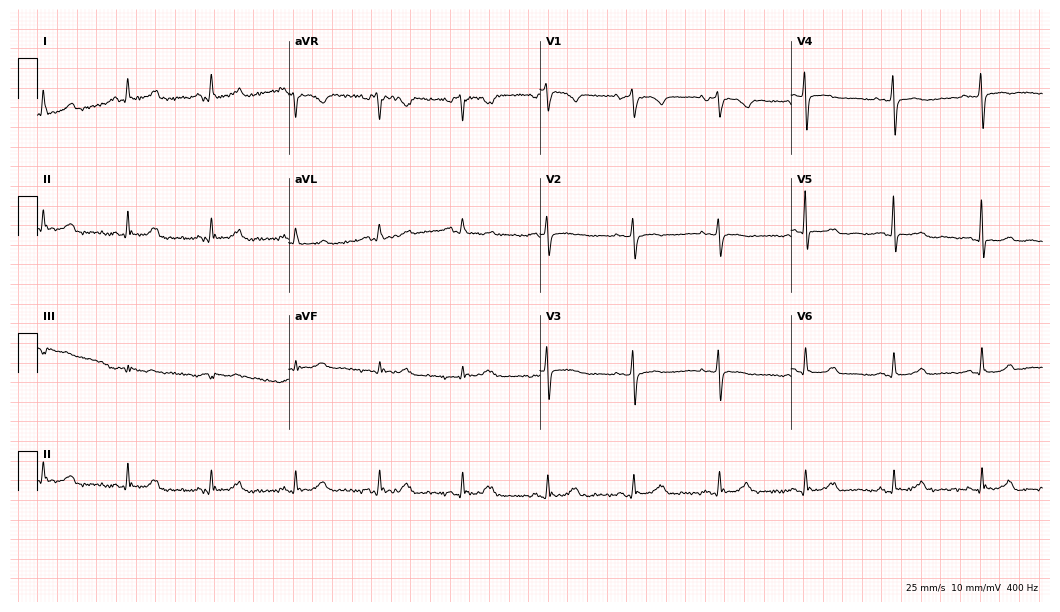
Resting 12-lead electrocardiogram. Patient: a female, 66 years old. Read as a normal ECG.